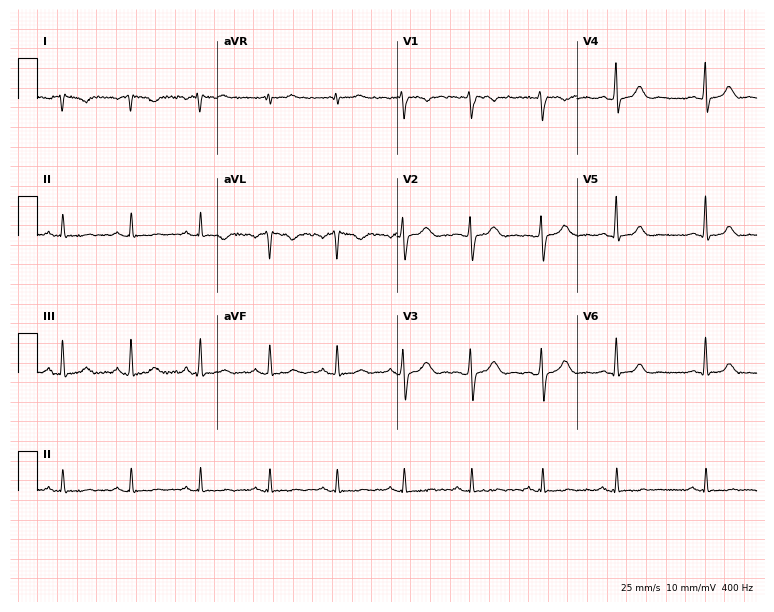
12-lead ECG from a female, 23 years old. No first-degree AV block, right bundle branch block, left bundle branch block, sinus bradycardia, atrial fibrillation or sinus tachycardia recorded for this tracing. Only these six findings were labelled.